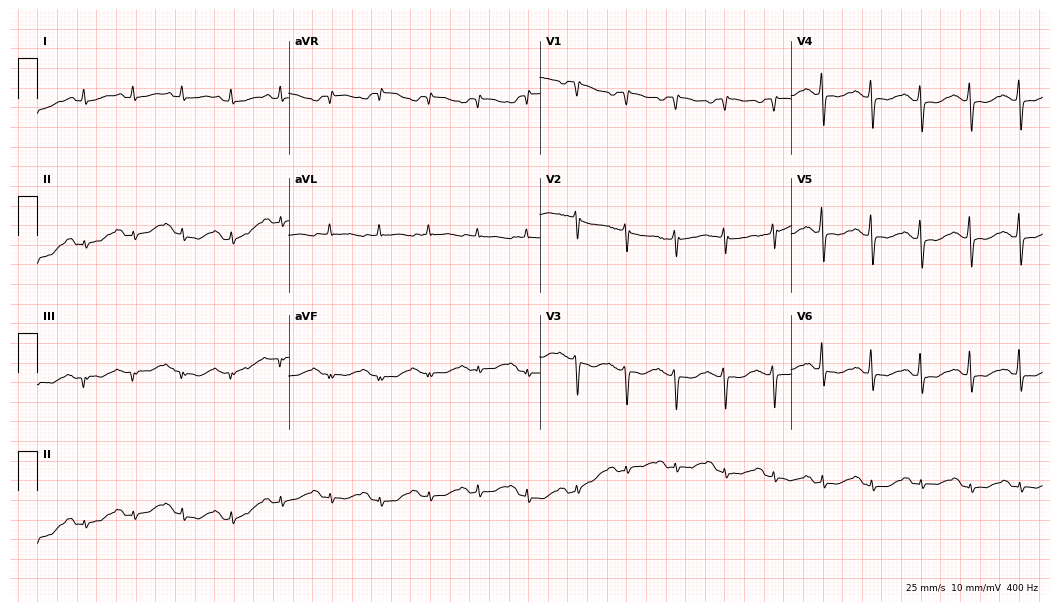
Resting 12-lead electrocardiogram (10.2-second recording at 400 Hz). Patient: a 51-year-old woman. None of these six findings is recorded: first-degree AV block, right bundle branch block (RBBB), left bundle branch block (LBBB), sinus bradycardia, atrial fibrillation (AF), sinus tachycardia. Only these six findings were labelled.